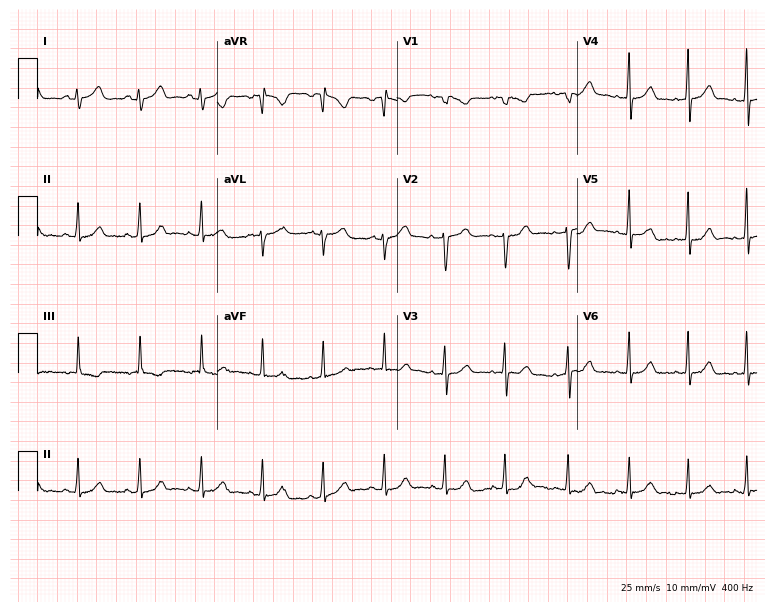
Standard 12-lead ECG recorded from a 20-year-old female (7.3-second recording at 400 Hz). Read as a normal ECG.